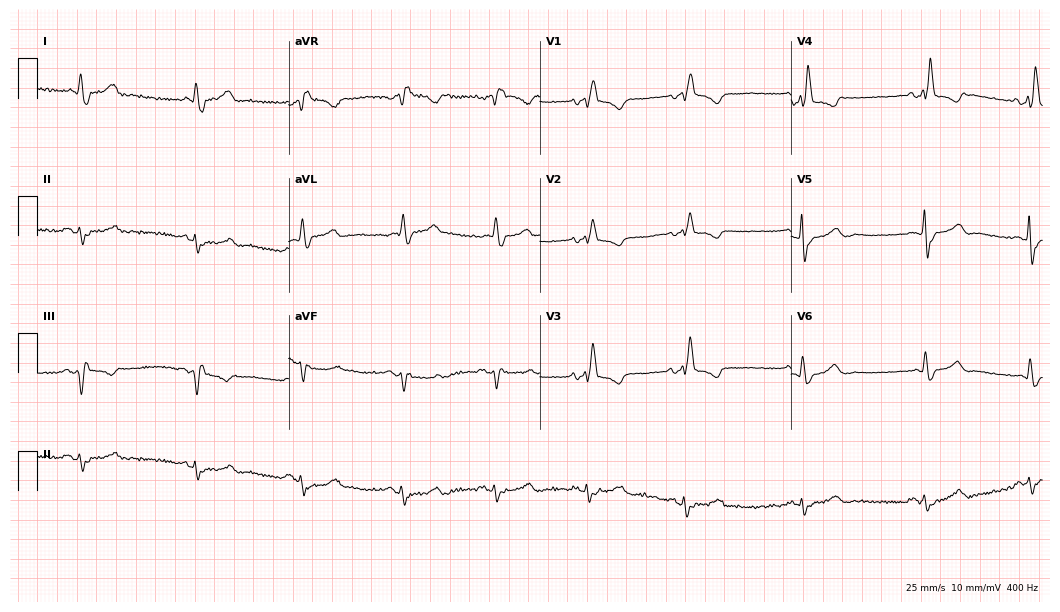
Standard 12-lead ECG recorded from a female, 81 years old (10.2-second recording at 400 Hz). The tracing shows right bundle branch block (RBBB).